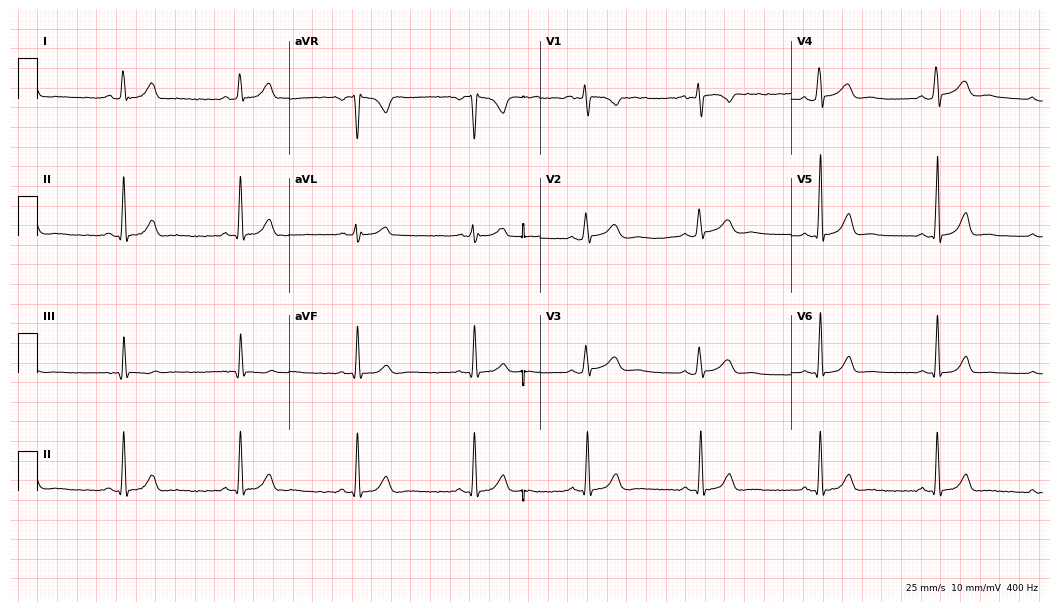
Electrocardiogram (10.2-second recording at 400 Hz), a woman, 24 years old. Of the six screened findings (first-degree AV block, right bundle branch block, left bundle branch block, sinus bradycardia, atrial fibrillation, sinus tachycardia), none is recorded.